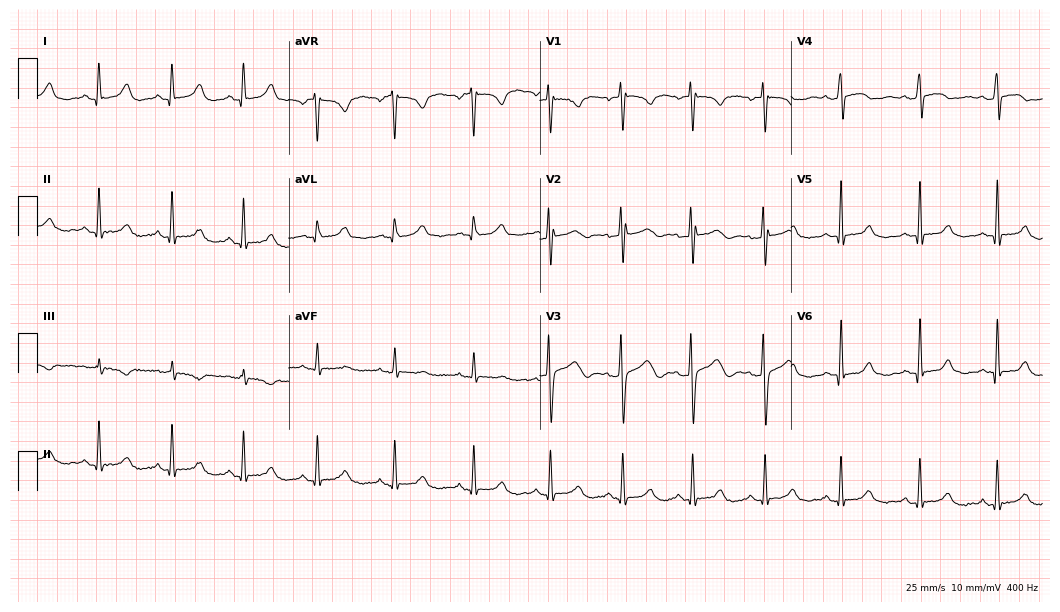
Resting 12-lead electrocardiogram. Patient: a female, 31 years old. None of these six findings is recorded: first-degree AV block, right bundle branch block, left bundle branch block, sinus bradycardia, atrial fibrillation, sinus tachycardia. Only these six findings were labelled.